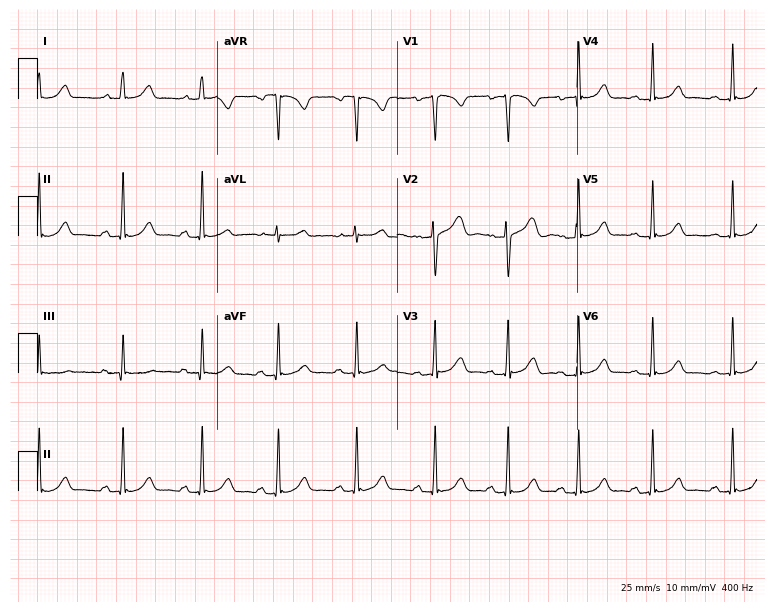
Standard 12-lead ECG recorded from a 28-year-old female. Read as a normal ECG.